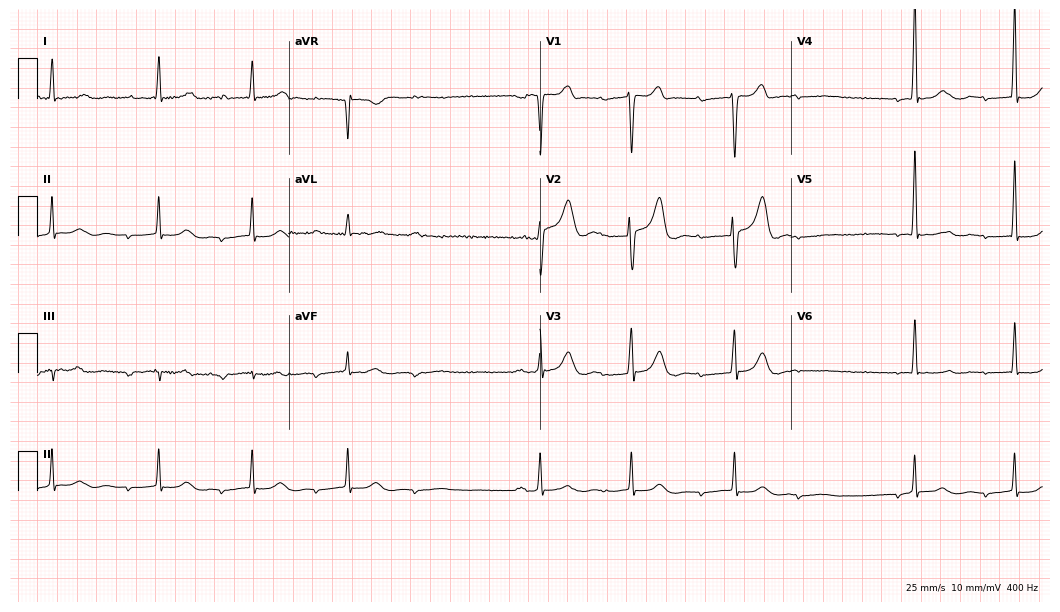
12-lead ECG from a man, 48 years old (10.2-second recording at 400 Hz). No first-degree AV block, right bundle branch block (RBBB), left bundle branch block (LBBB), sinus bradycardia, atrial fibrillation (AF) or sinus tachycardia recorded for this tracing. Findings outside these six are not listed.